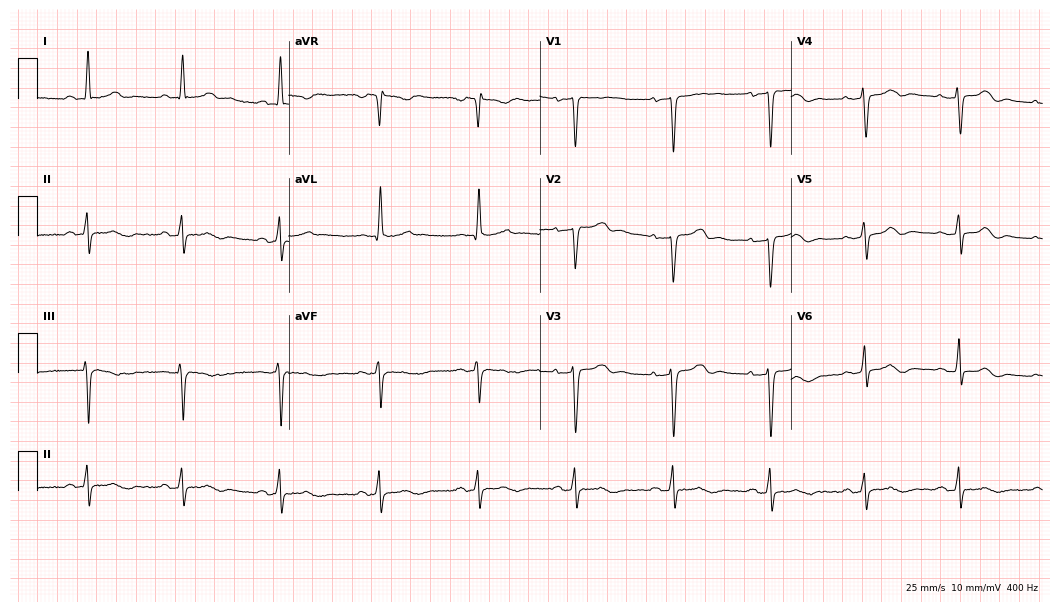
Standard 12-lead ECG recorded from a woman, 50 years old. None of these six findings is recorded: first-degree AV block, right bundle branch block, left bundle branch block, sinus bradycardia, atrial fibrillation, sinus tachycardia. Other findings, if any, are not listed.